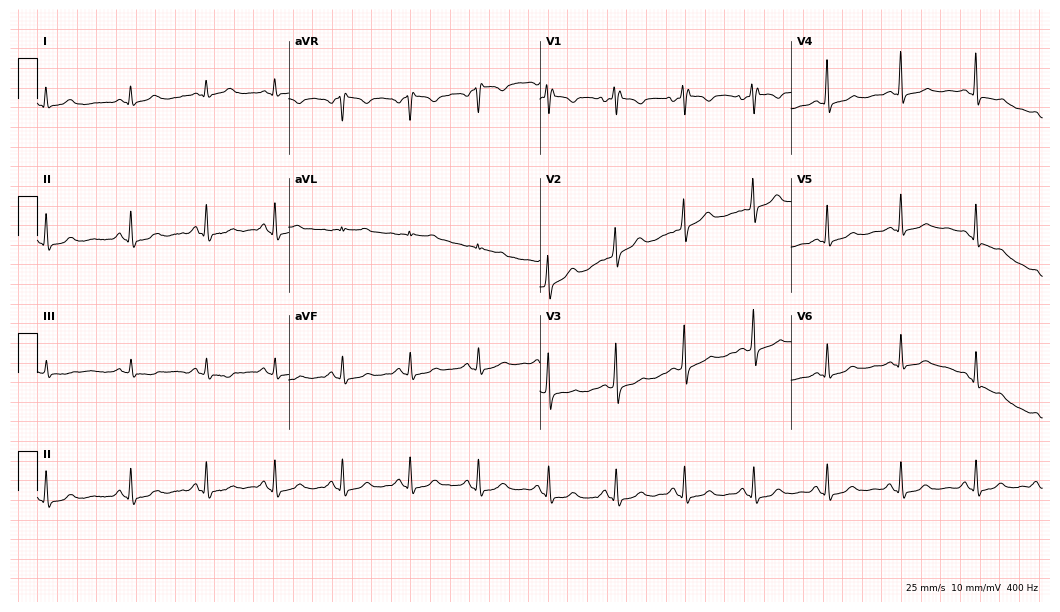
12-lead ECG from a 49-year-old female (10.2-second recording at 400 Hz). No first-degree AV block, right bundle branch block, left bundle branch block, sinus bradycardia, atrial fibrillation or sinus tachycardia recorded for this tracing. Findings outside these six are not listed.